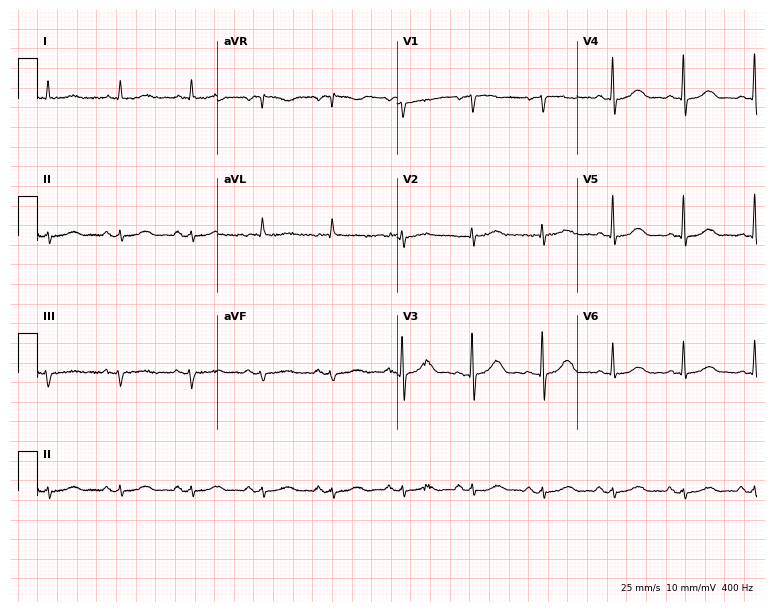
12-lead ECG from a female, 78 years old. Recorded interpretation: within normal limits.